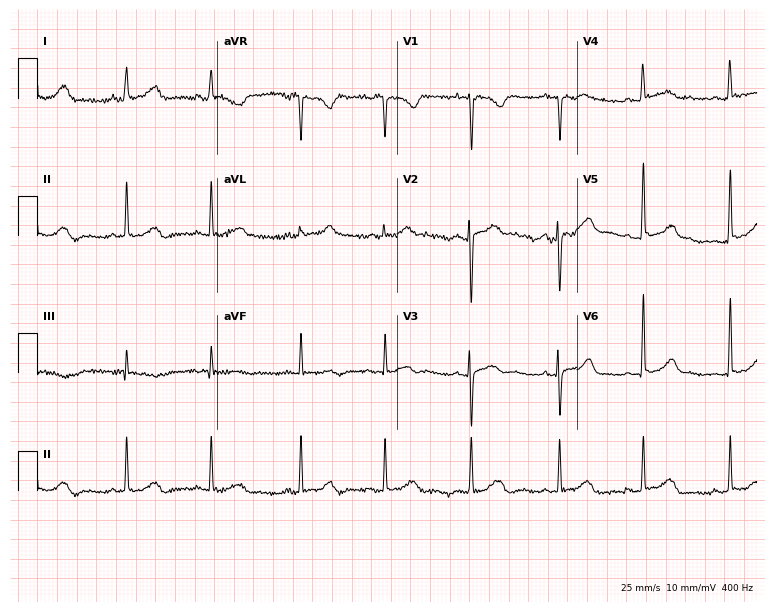
Electrocardiogram, a 55-year-old woman. Of the six screened findings (first-degree AV block, right bundle branch block, left bundle branch block, sinus bradycardia, atrial fibrillation, sinus tachycardia), none is recorded. Other findings, if any, are not listed.